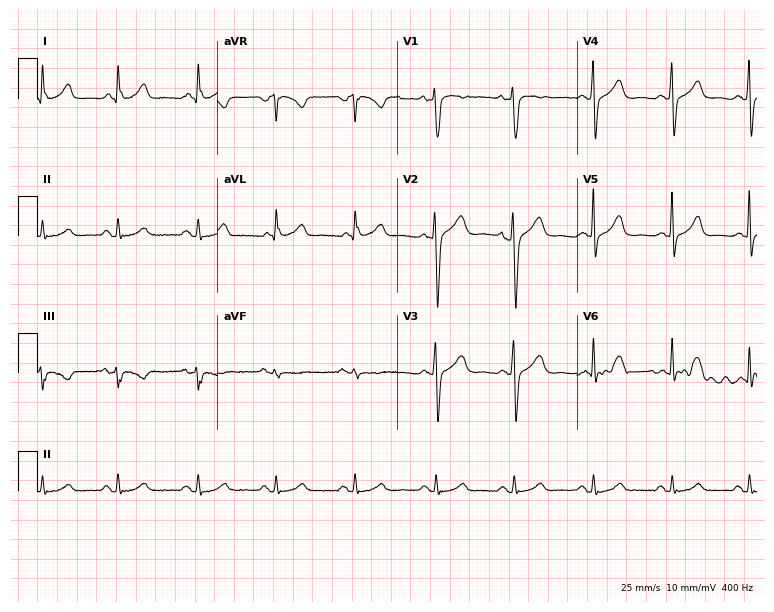
12-lead ECG from a male, 54 years old. Screened for six findings — first-degree AV block, right bundle branch block, left bundle branch block, sinus bradycardia, atrial fibrillation, sinus tachycardia — none is recorded.